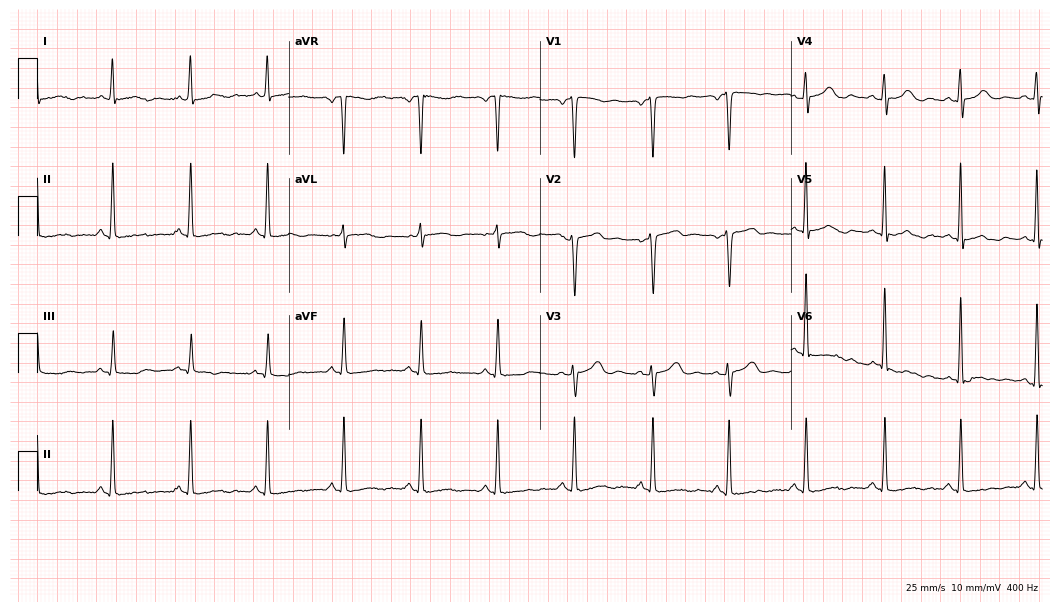
12-lead ECG from a female patient, 41 years old. Screened for six findings — first-degree AV block, right bundle branch block, left bundle branch block, sinus bradycardia, atrial fibrillation, sinus tachycardia — none is recorded. Only these six findings were labelled.